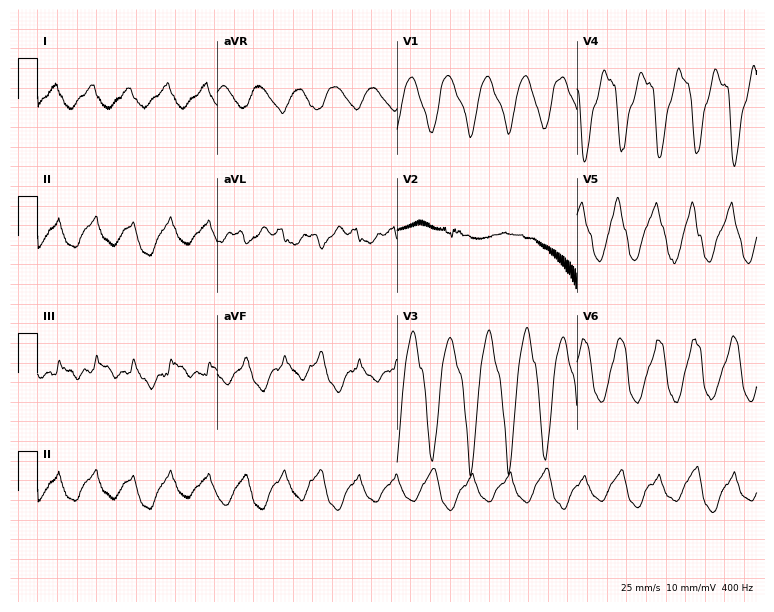
Standard 12-lead ECG recorded from a male patient, 75 years old. The tracing shows atrial fibrillation (AF), sinus tachycardia (a sinus rate of 100 beats per minute or more).